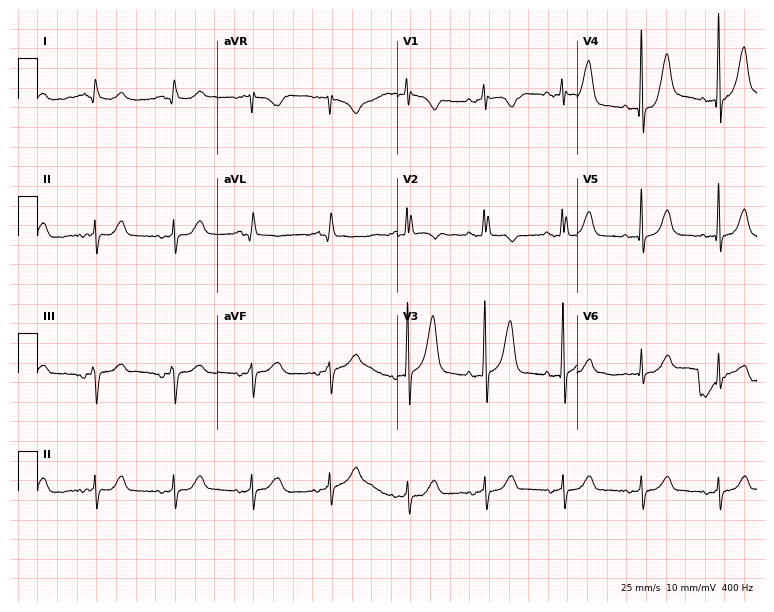
12-lead ECG (7.3-second recording at 400 Hz) from an 83-year-old male patient. Screened for six findings — first-degree AV block, right bundle branch block, left bundle branch block, sinus bradycardia, atrial fibrillation, sinus tachycardia — none is recorded. Findings outside these six are not listed.